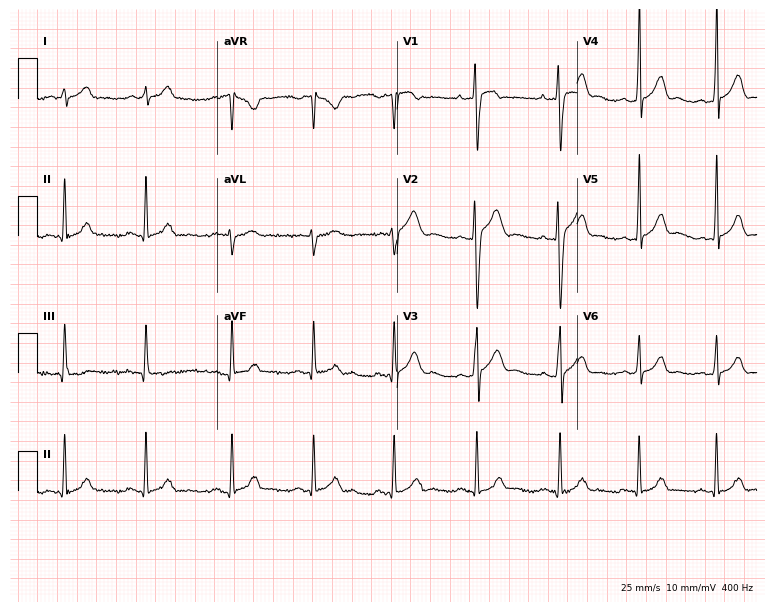
Resting 12-lead electrocardiogram. Patient: a man, 17 years old. Read as a normal ECG.